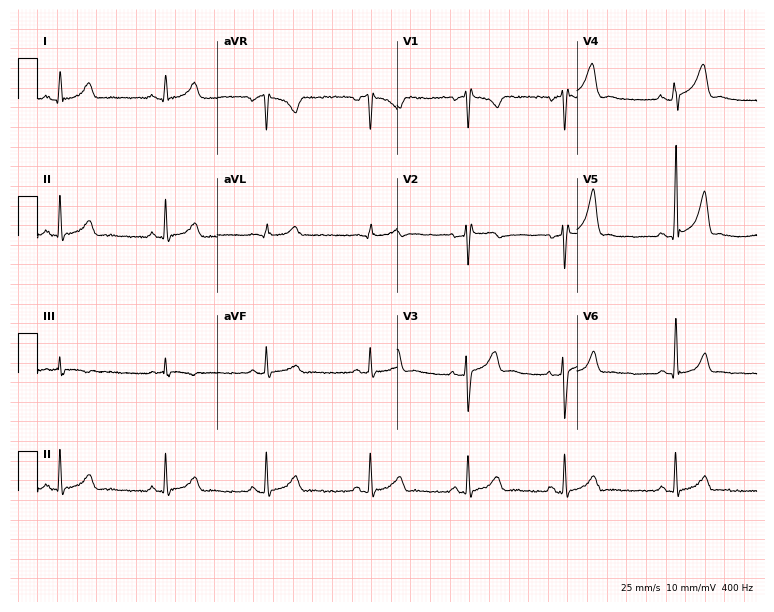
12-lead ECG from a man, 27 years old (7.3-second recording at 400 Hz). No first-degree AV block, right bundle branch block, left bundle branch block, sinus bradycardia, atrial fibrillation or sinus tachycardia recorded for this tracing.